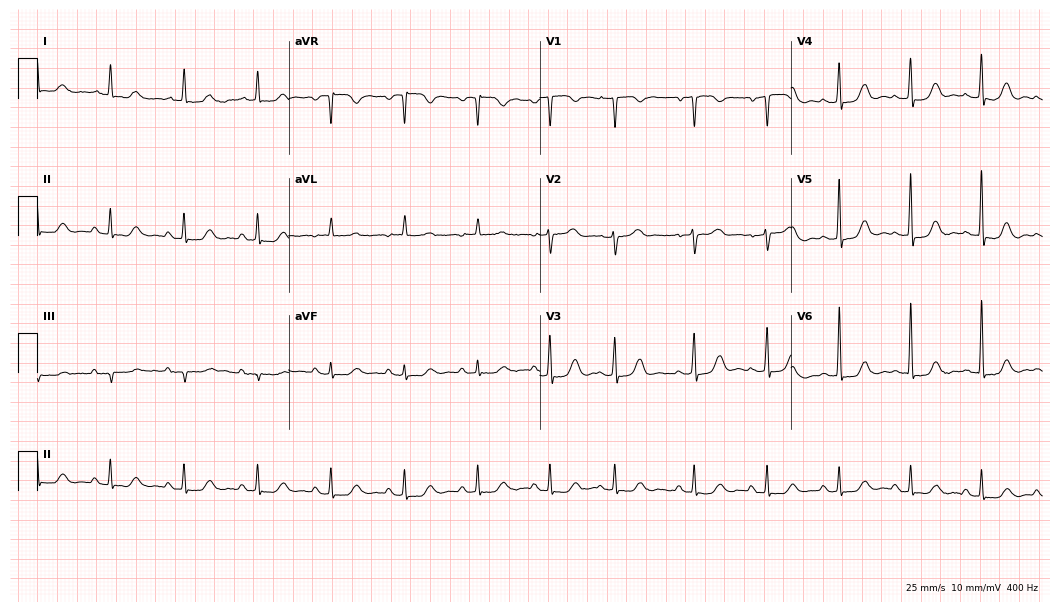
ECG (10.2-second recording at 400 Hz) — a 67-year-old female. Screened for six findings — first-degree AV block, right bundle branch block, left bundle branch block, sinus bradycardia, atrial fibrillation, sinus tachycardia — none is recorded. Findings outside these six are not listed.